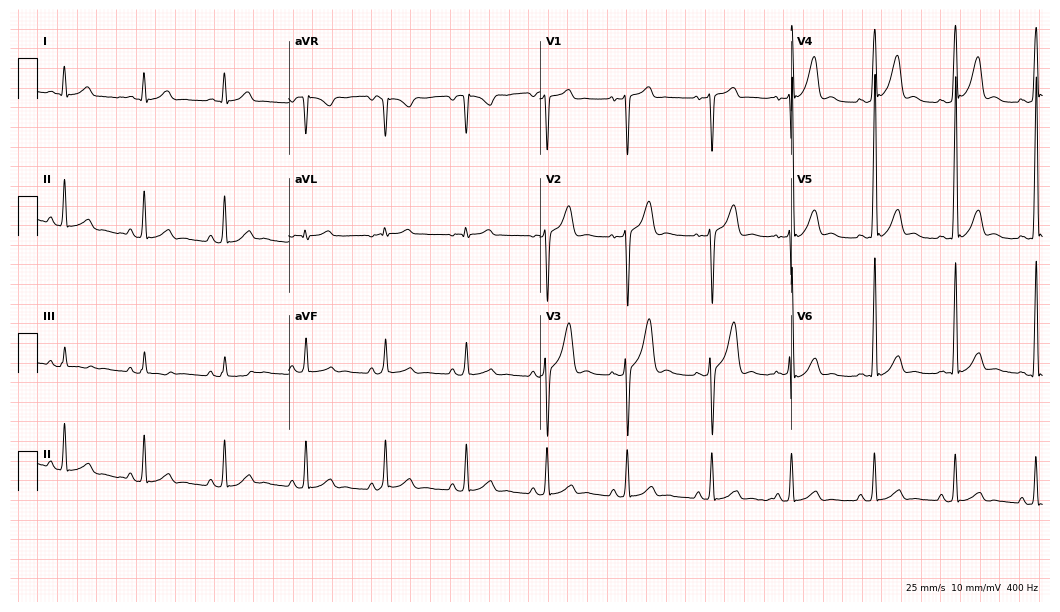
12-lead ECG from a male, 32 years old. Screened for six findings — first-degree AV block, right bundle branch block, left bundle branch block, sinus bradycardia, atrial fibrillation, sinus tachycardia — none is recorded. Other findings, if any, are not listed.